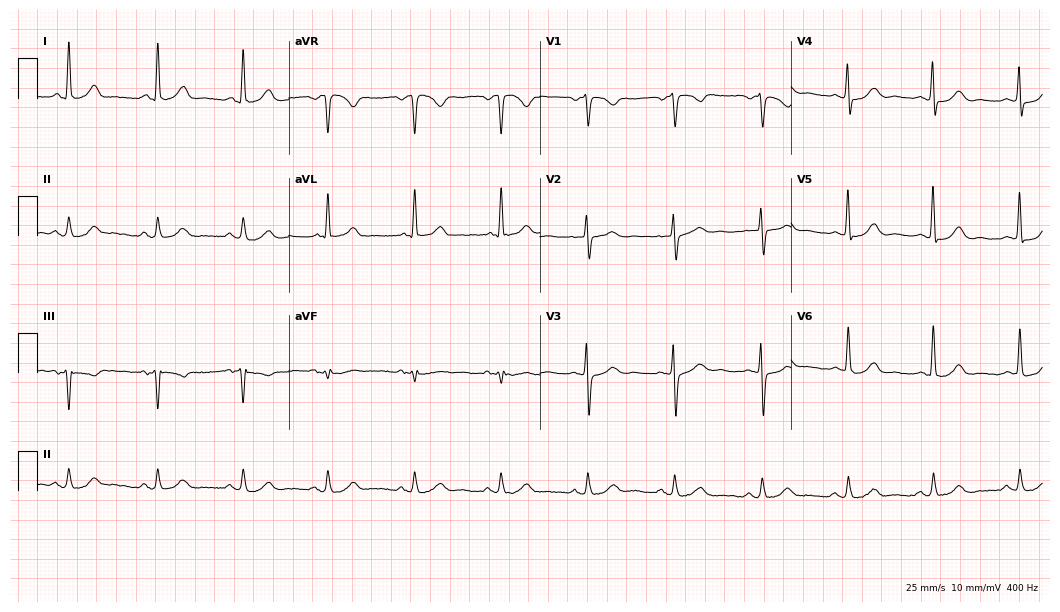
ECG (10.2-second recording at 400 Hz) — a 76-year-old female patient. Labelled as a normal ECG.